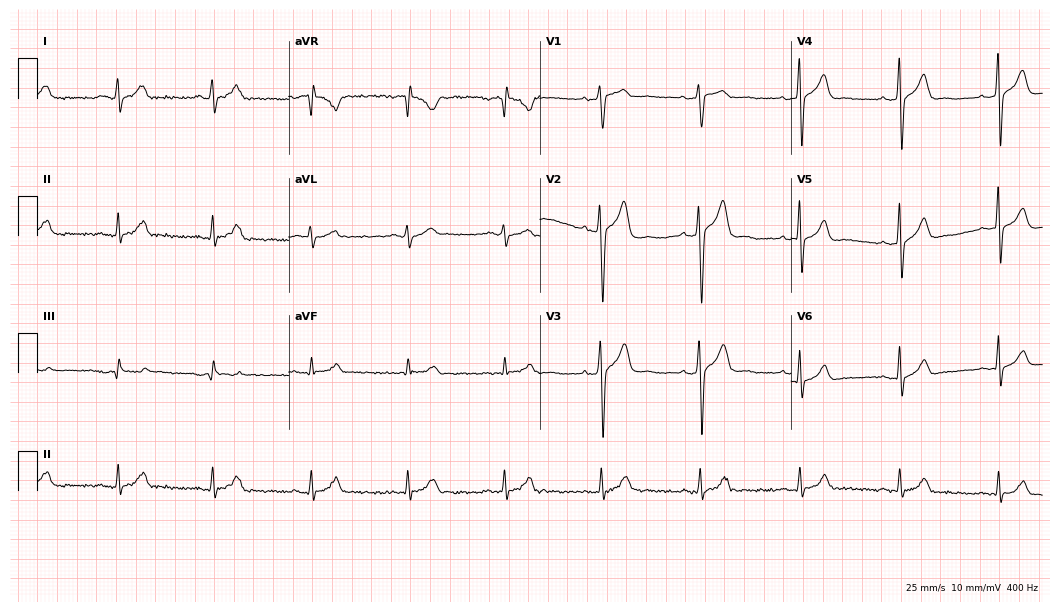
ECG — a male, 37 years old. Labelled as a normal ECG.